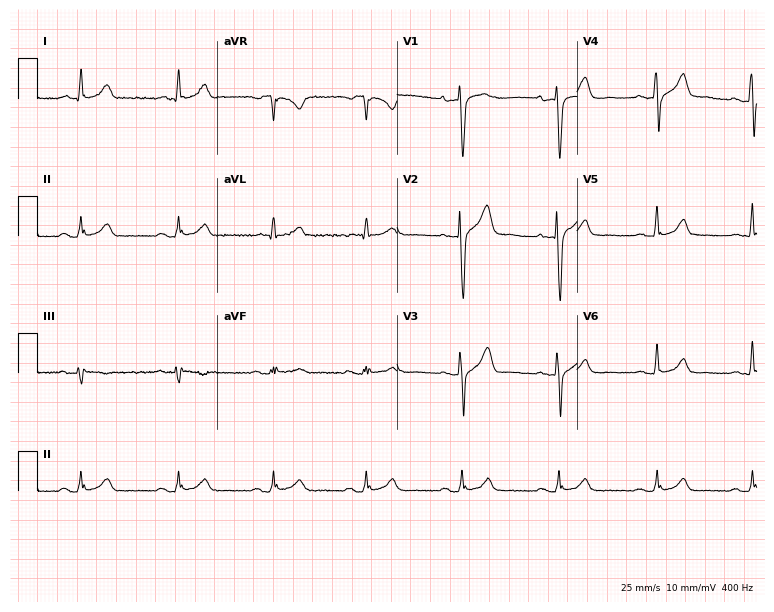
12-lead ECG (7.3-second recording at 400 Hz) from a 57-year-old male. Labelled as a normal ECG.